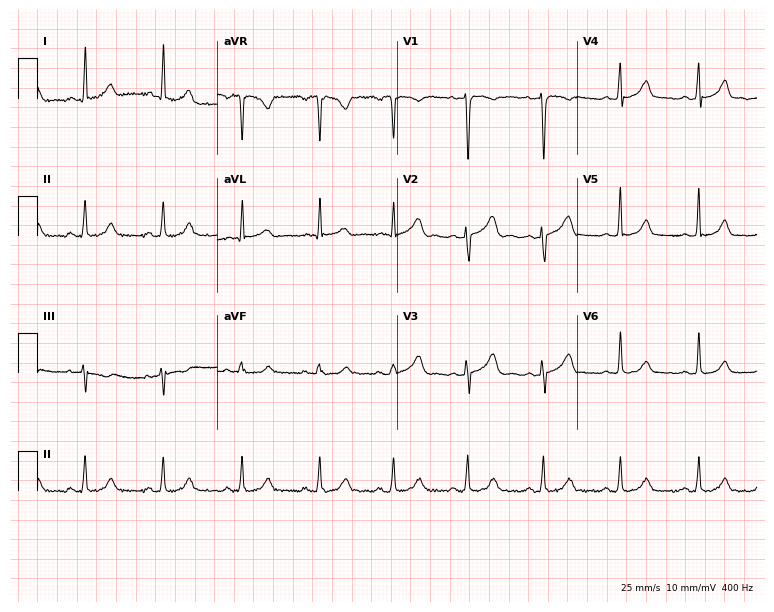
Electrocardiogram, a 21-year-old female patient. Overall reading on record: normal ECG.